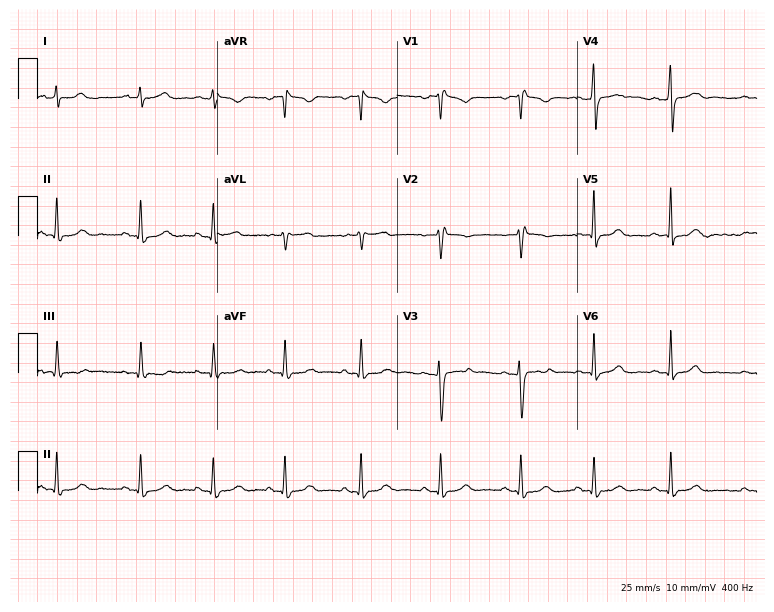
Standard 12-lead ECG recorded from a woman, 29 years old (7.3-second recording at 400 Hz). Read as a normal ECG.